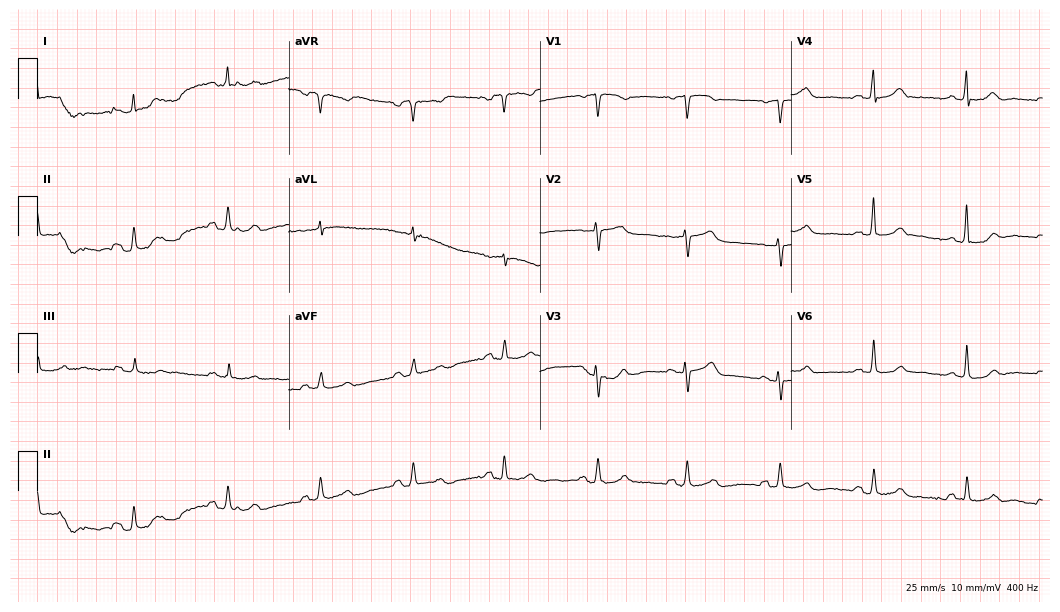
Resting 12-lead electrocardiogram (10.2-second recording at 400 Hz). Patient: a female, 80 years old. Read as a normal ECG.